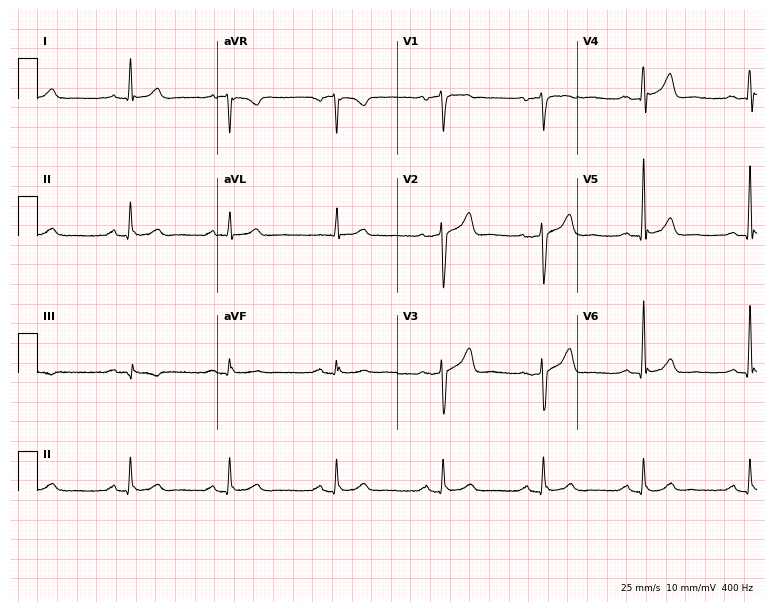
12-lead ECG from a male, 68 years old. Labelled as a normal ECG.